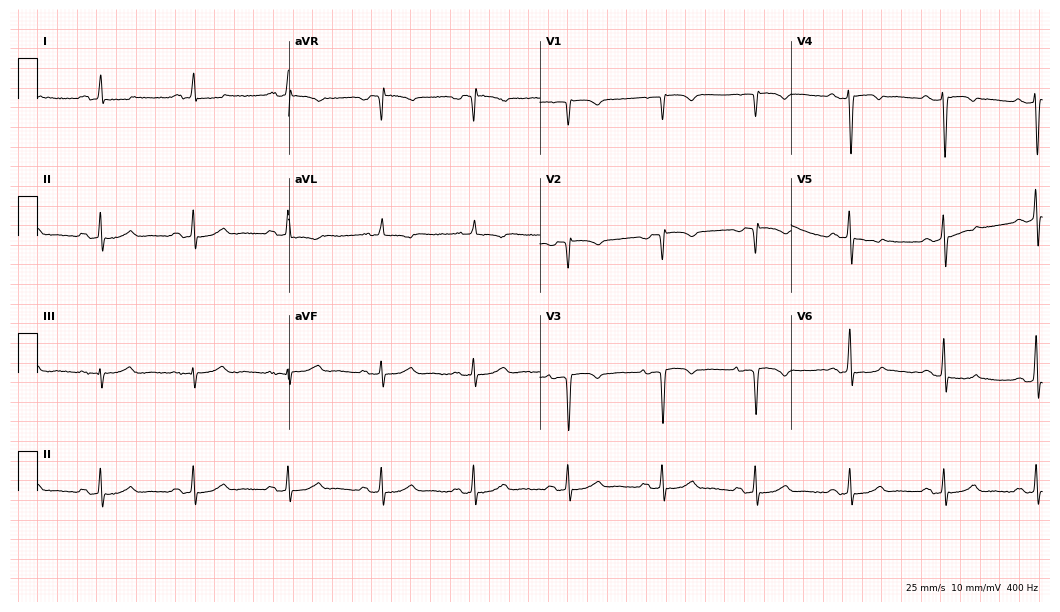
12-lead ECG (10.2-second recording at 400 Hz) from an 81-year-old woman. Screened for six findings — first-degree AV block, right bundle branch block, left bundle branch block, sinus bradycardia, atrial fibrillation, sinus tachycardia — none is recorded.